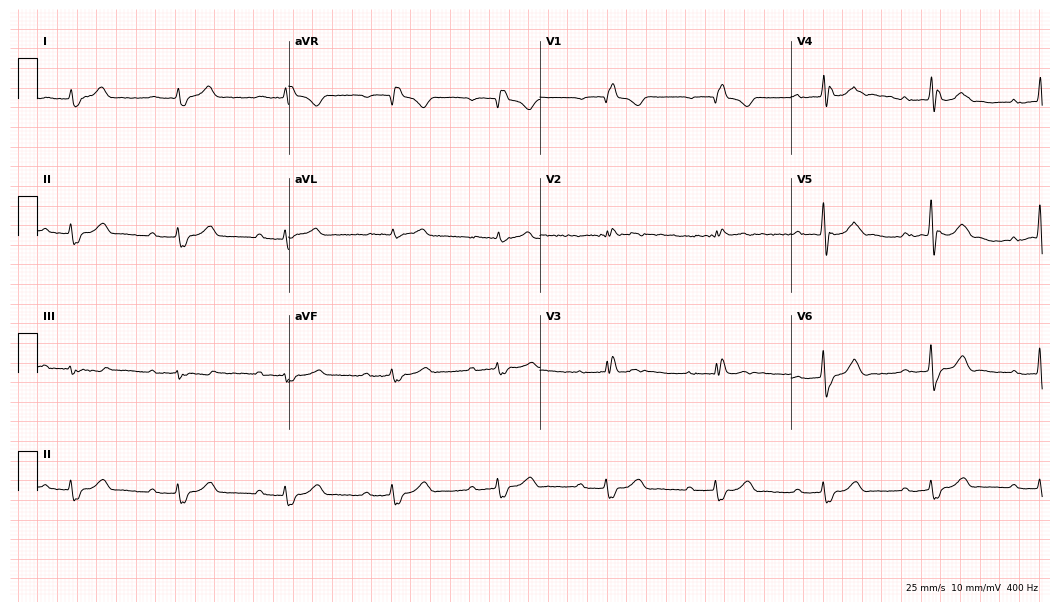
Resting 12-lead electrocardiogram (10.2-second recording at 400 Hz). Patient: an 83-year-old male. The tracing shows first-degree AV block, right bundle branch block.